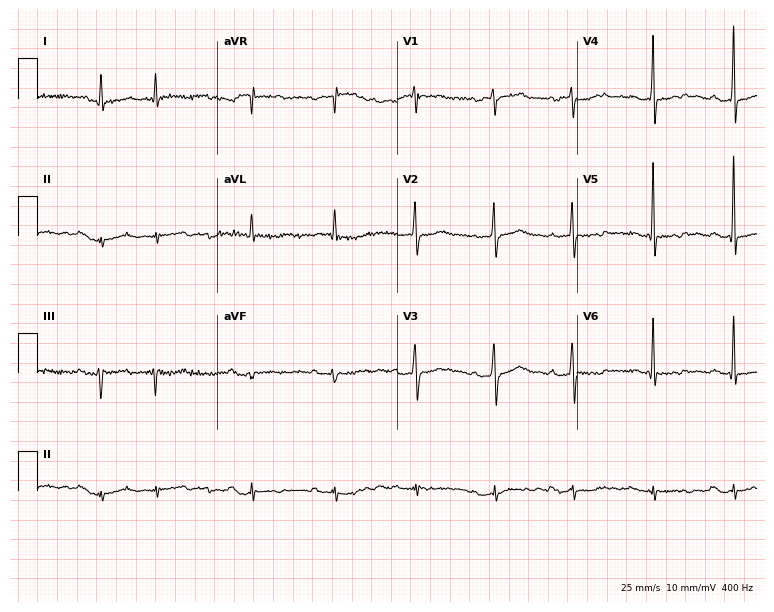
12-lead ECG from a 70-year-old male patient. No first-degree AV block, right bundle branch block (RBBB), left bundle branch block (LBBB), sinus bradycardia, atrial fibrillation (AF) or sinus tachycardia recorded for this tracing.